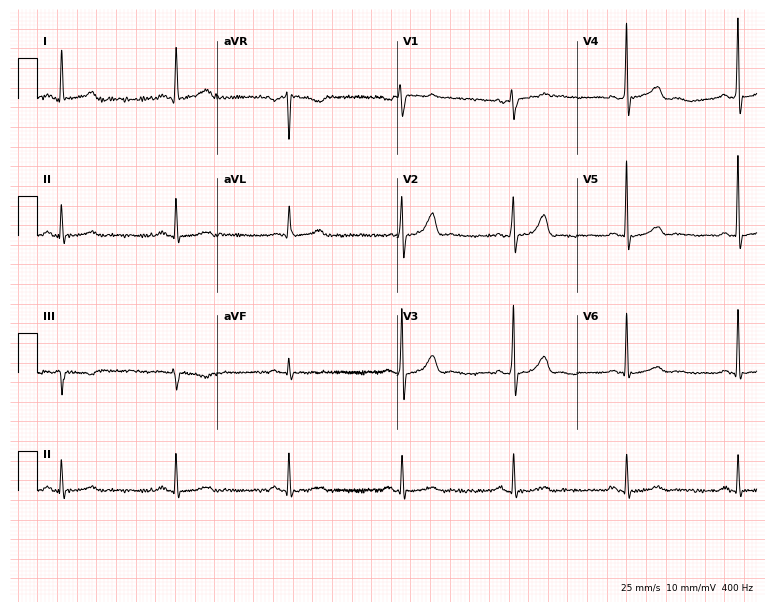
12-lead ECG (7.3-second recording at 400 Hz) from a male patient, 47 years old. Screened for six findings — first-degree AV block, right bundle branch block, left bundle branch block, sinus bradycardia, atrial fibrillation, sinus tachycardia — none is recorded.